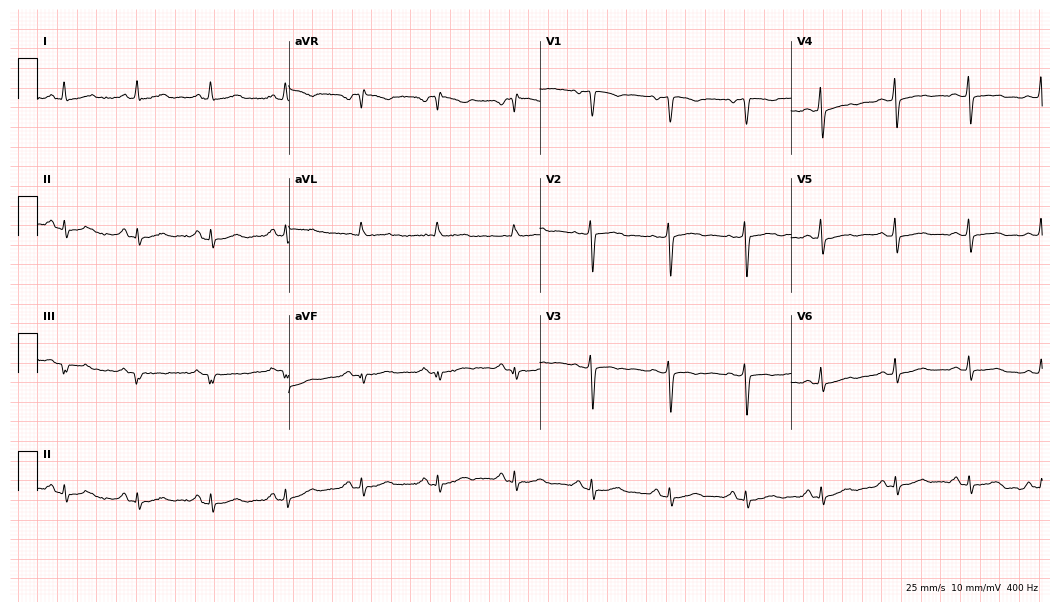
12-lead ECG from a 47-year-old female. No first-degree AV block, right bundle branch block, left bundle branch block, sinus bradycardia, atrial fibrillation or sinus tachycardia recorded for this tracing. Only these six findings were labelled.